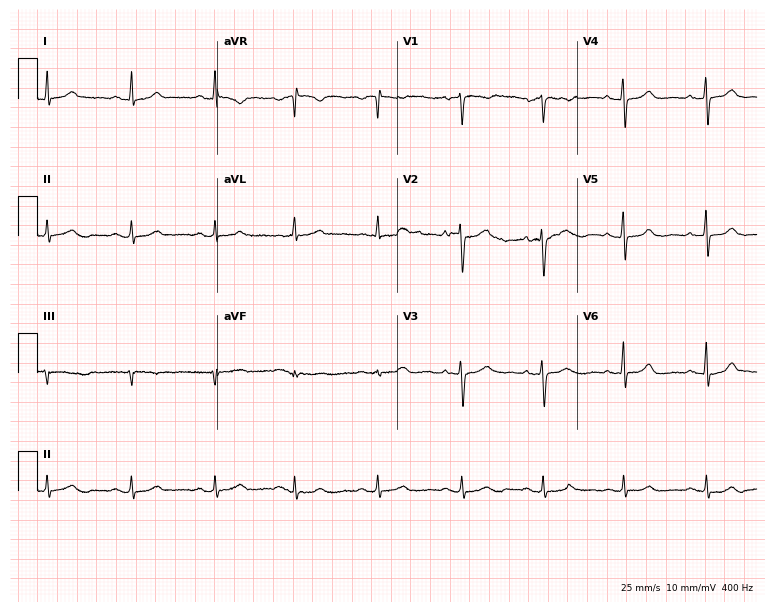
12-lead ECG from a 48-year-old female patient (7.3-second recording at 400 Hz). No first-degree AV block, right bundle branch block (RBBB), left bundle branch block (LBBB), sinus bradycardia, atrial fibrillation (AF) or sinus tachycardia recorded for this tracing. Findings outside these six are not listed.